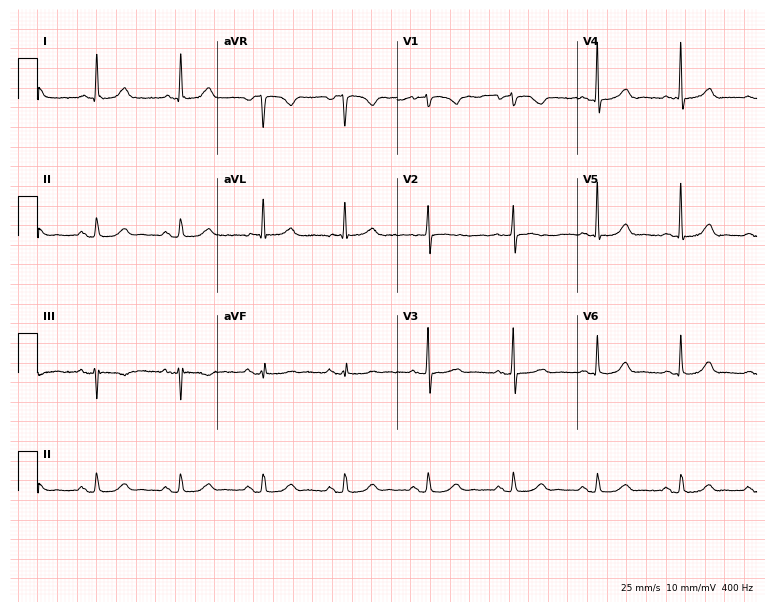
Electrocardiogram, a female patient, 85 years old. Overall reading on record: normal ECG.